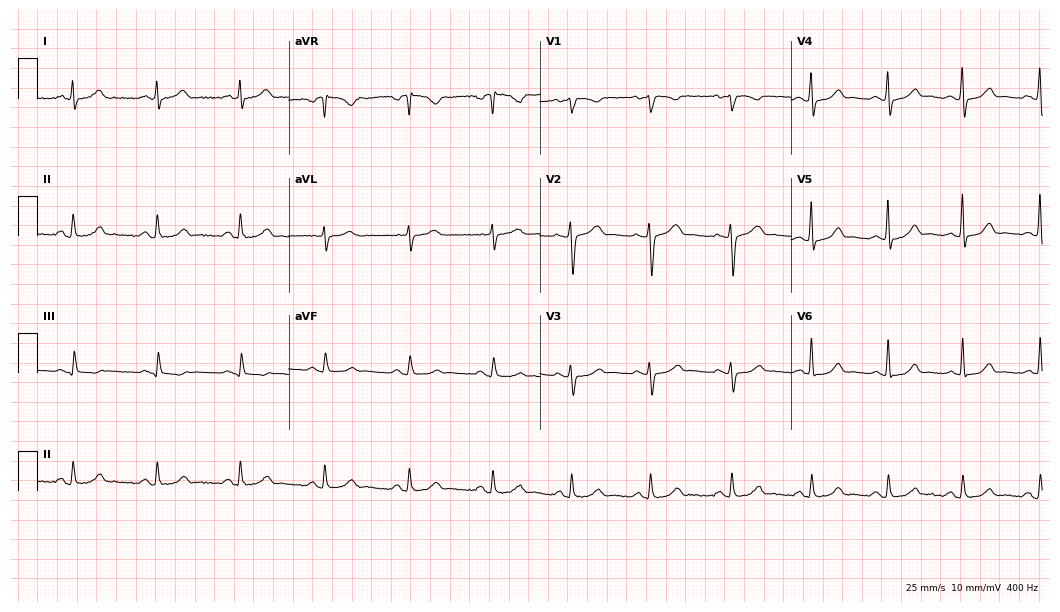
12-lead ECG from a 42-year-old female. Recorded interpretation: within normal limits.